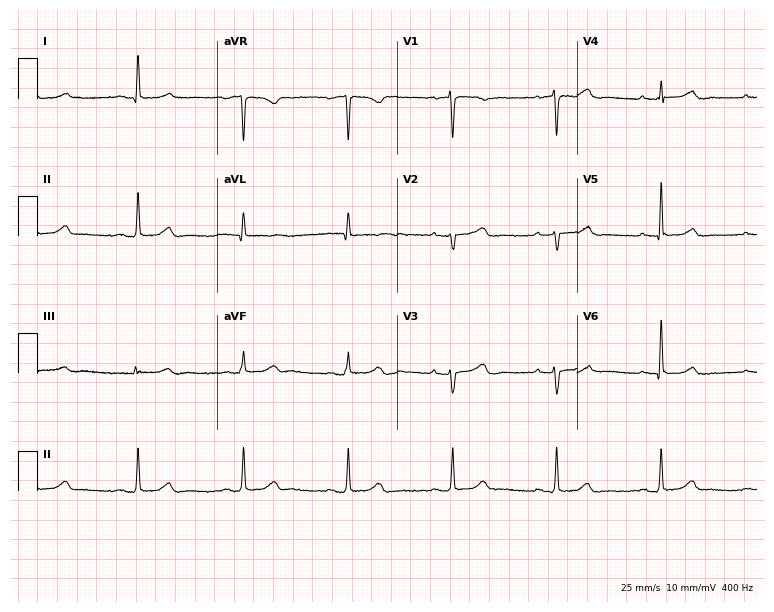
12-lead ECG from a 58-year-old woman. Labelled as a normal ECG.